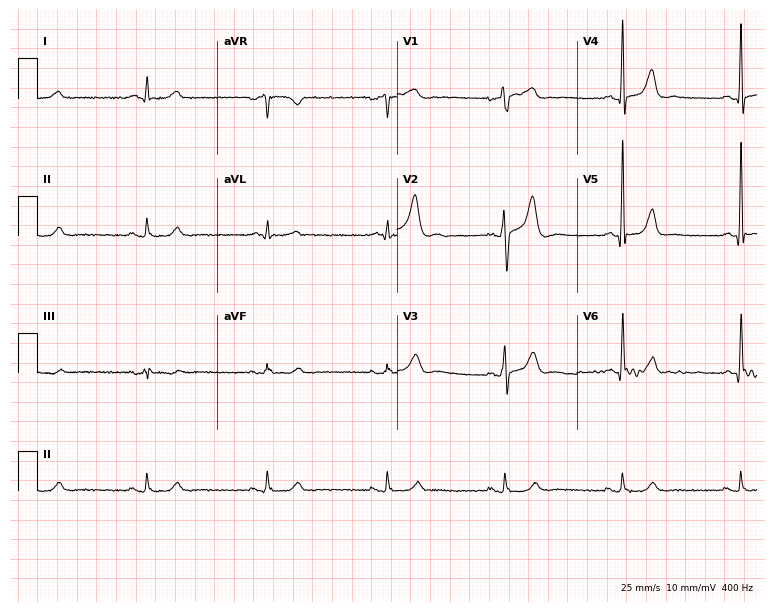
ECG (7.3-second recording at 400 Hz) — a 69-year-old male patient. Labelled as a normal ECG.